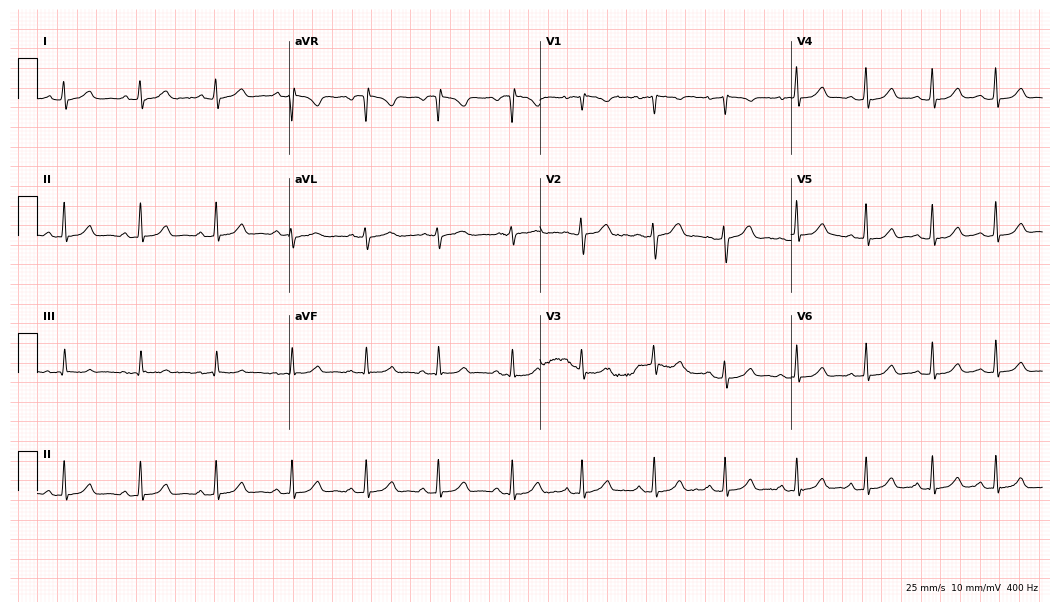
12-lead ECG from a female patient, 34 years old. Recorded interpretation: within normal limits.